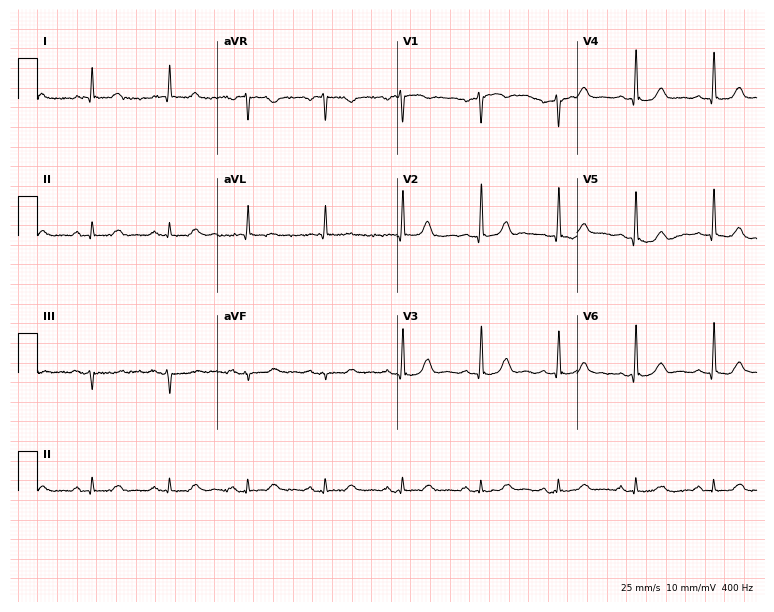
Resting 12-lead electrocardiogram (7.3-second recording at 400 Hz). Patient: a female, 67 years old. None of these six findings is recorded: first-degree AV block, right bundle branch block, left bundle branch block, sinus bradycardia, atrial fibrillation, sinus tachycardia.